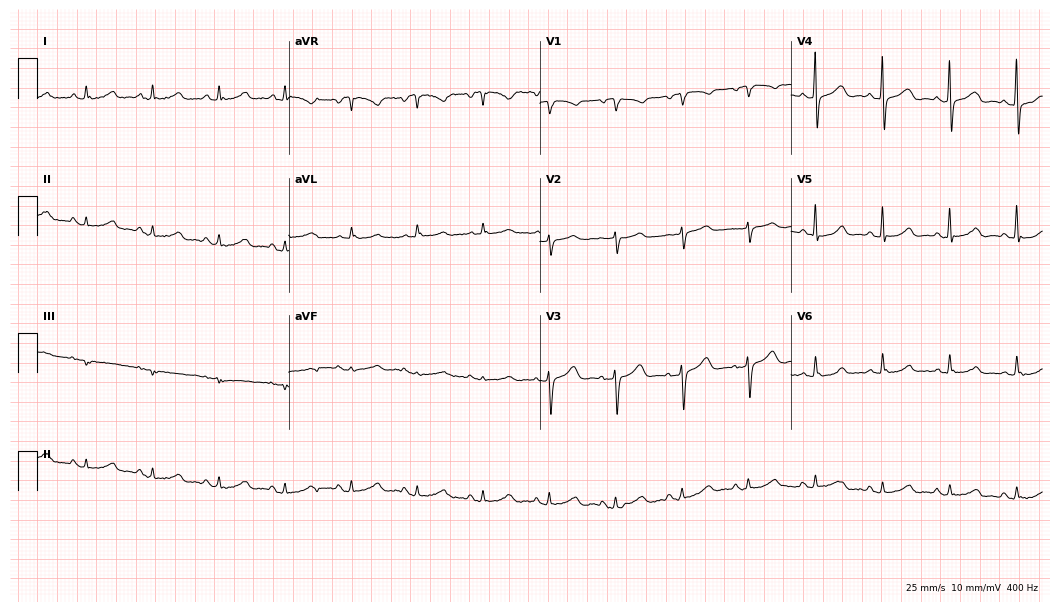
ECG (10.2-second recording at 400 Hz) — a 61-year-old woman. Labelled as a normal ECG.